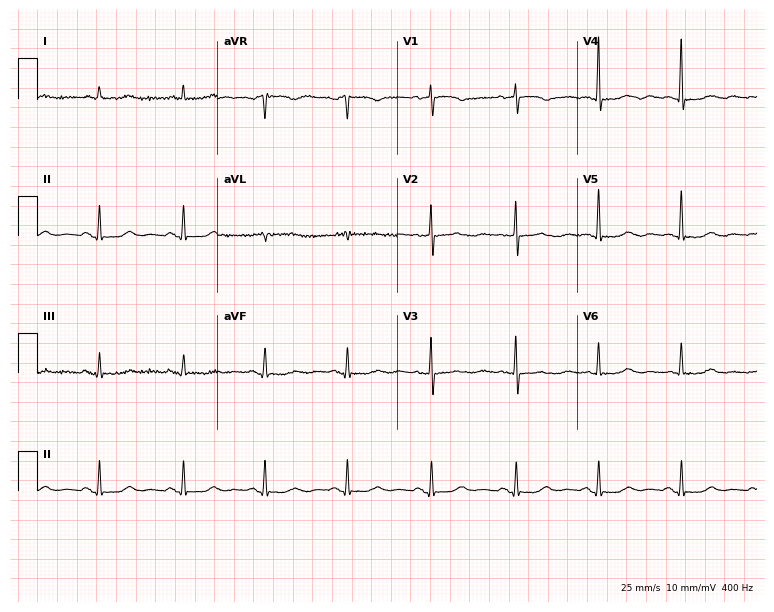
12-lead ECG from a 72-year-old female patient. No first-degree AV block, right bundle branch block, left bundle branch block, sinus bradycardia, atrial fibrillation or sinus tachycardia recorded for this tracing. Other findings, if any, are not listed.